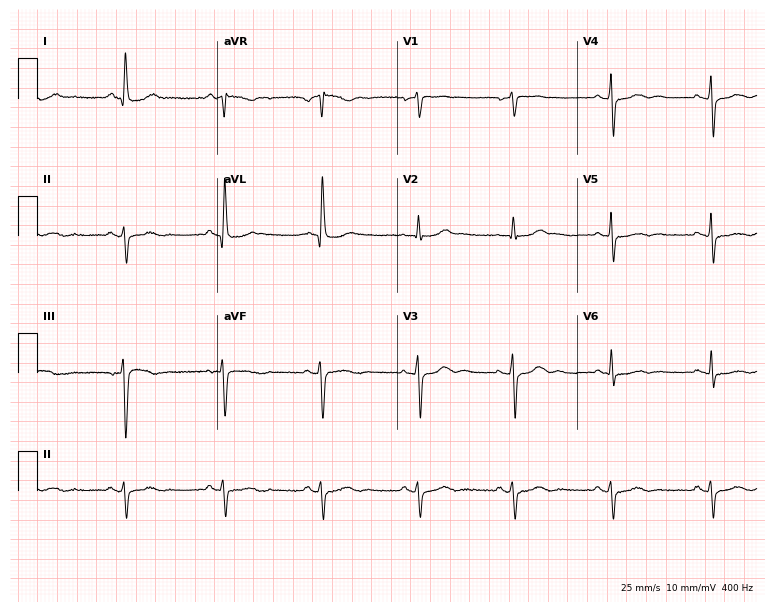
12-lead ECG from a 77-year-old female. No first-degree AV block, right bundle branch block (RBBB), left bundle branch block (LBBB), sinus bradycardia, atrial fibrillation (AF) or sinus tachycardia recorded for this tracing.